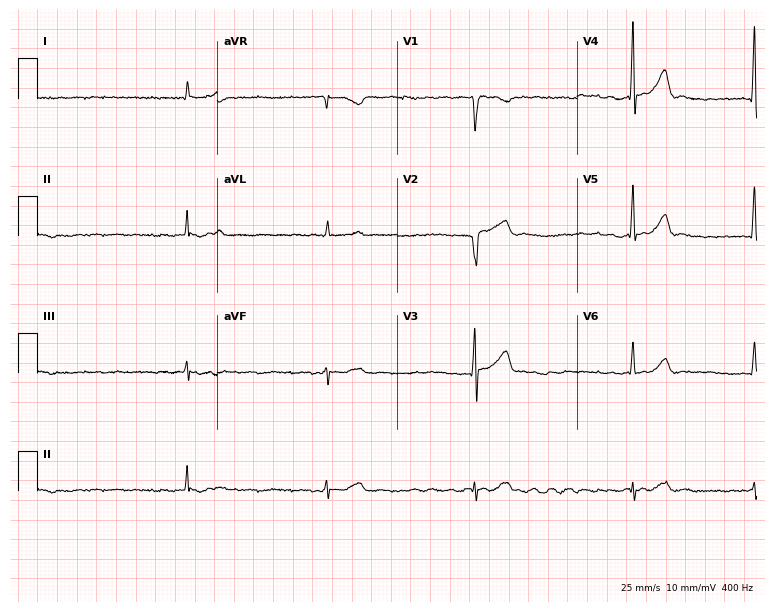
ECG — a man, 61 years old. Findings include atrial fibrillation.